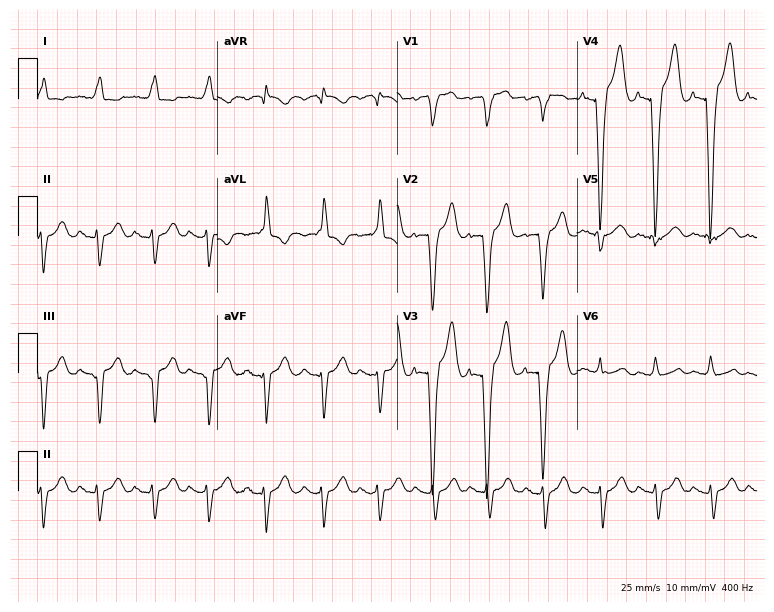
Standard 12-lead ECG recorded from an 85-year-old male (7.3-second recording at 400 Hz). The tracing shows left bundle branch block, sinus tachycardia (a sinus rate of 100 beats per minute or more).